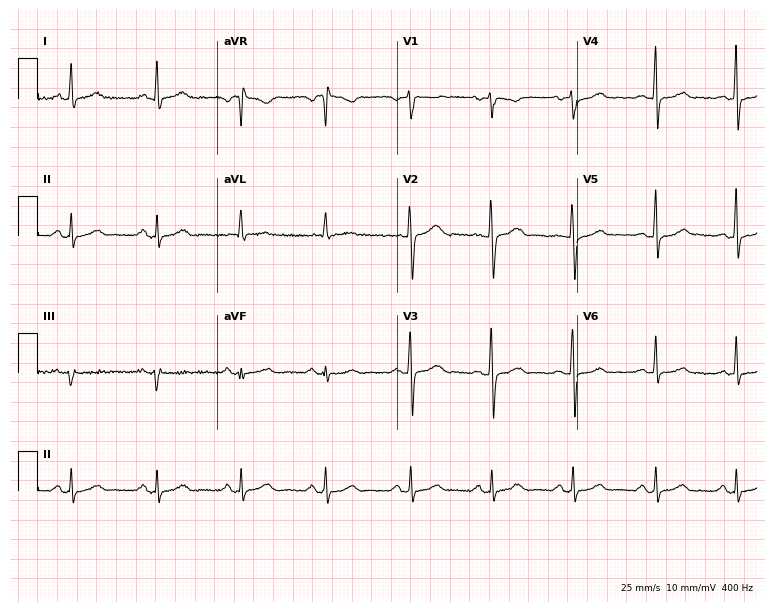
Electrocardiogram (7.3-second recording at 400 Hz), a 39-year-old woman. Overall reading on record: normal ECG.